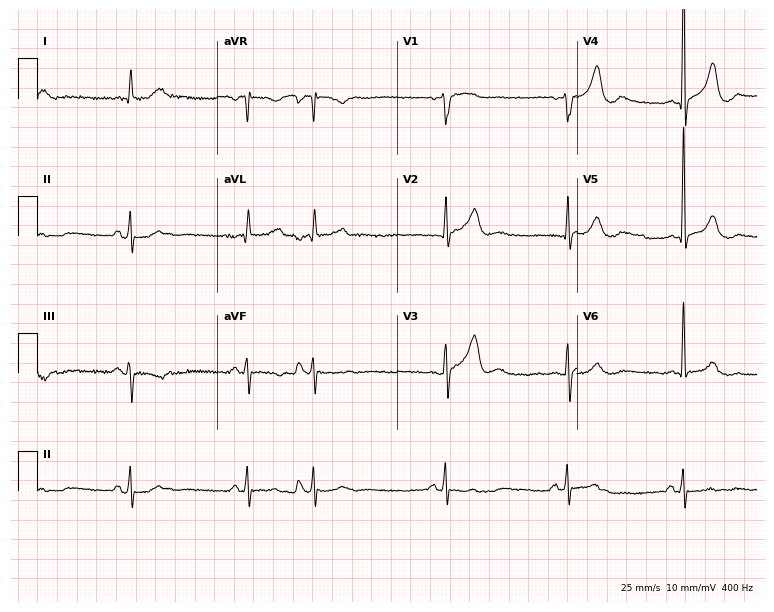
12-lead ECG from a 60-year-old male patient. Findings include sinus bradycardia (a sinus rate of 50 beats per minute or less).